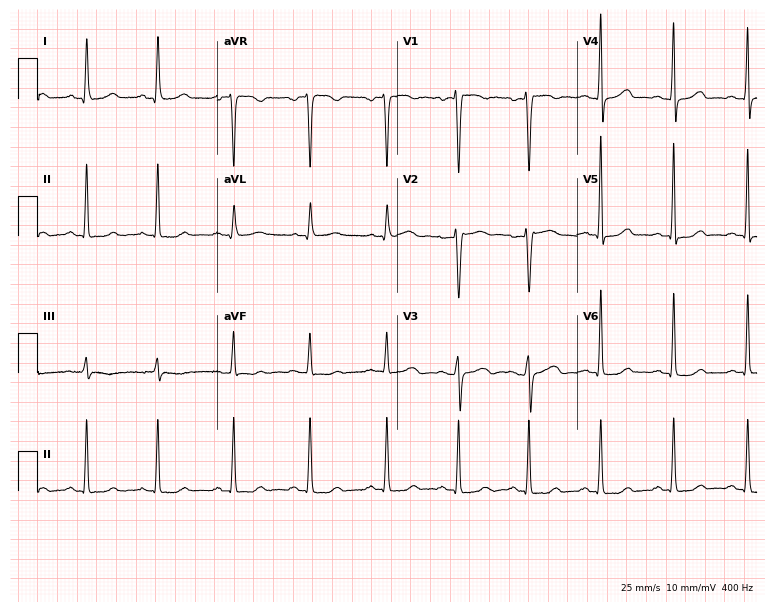
Resting 12-lead electrocardiogram (7.3-second recording at 400 Hz). Patient: a woman, 37 years old. Read as a normal ECG.